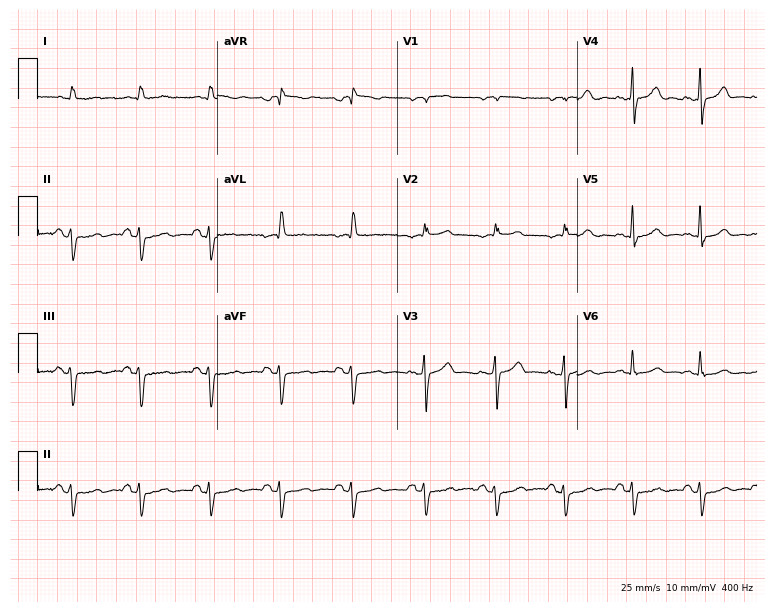
ECG (7.3-second recording at 400 Hz) — a male, 72 years old. Screened for six findings — first-degree AV block, right bundle branch block, left bundle branch block, sinus bradycardia, atrial fibrillation, sinus tachycardia — none is recorded.